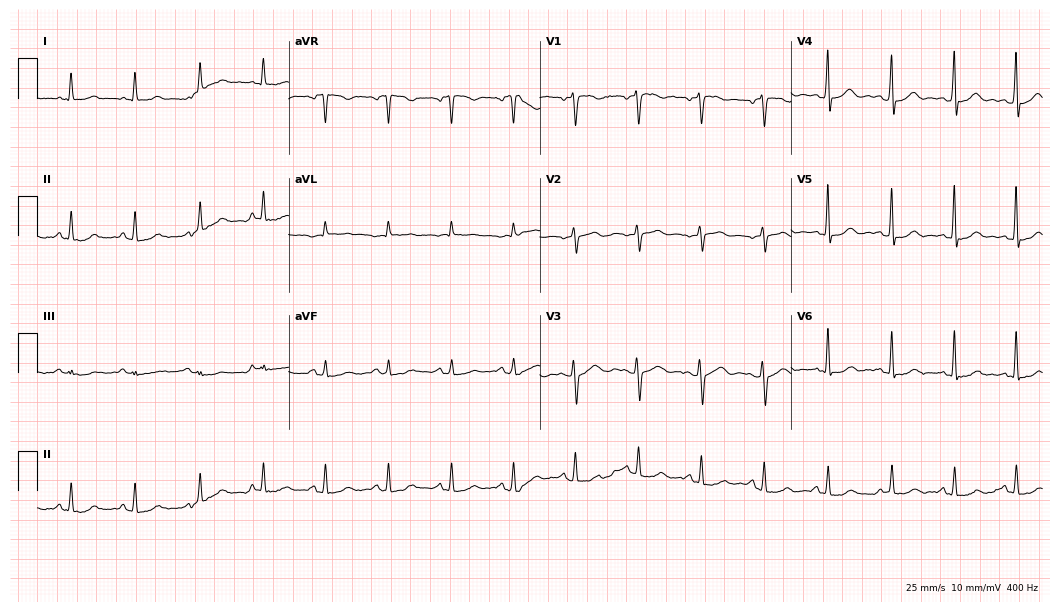
ECG — a 43-year-old woman. Labelled as a normal ECG.